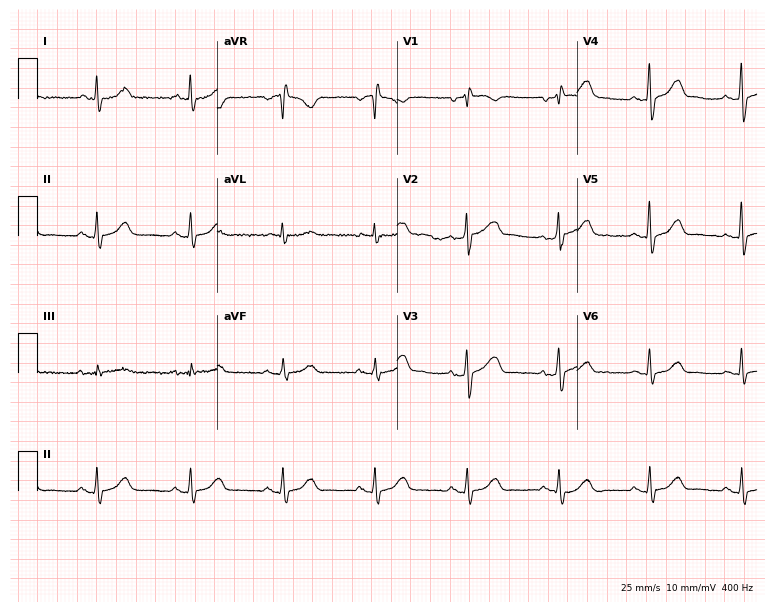
Standard 12-lead ECG recorded from a 71-year-old man. None of these six findings is recorded: first-degree AV block, right bundle branch block, left bundle branch block, sinus bradycardia, atrial fibrillation, sinus tachycardia. Findings outside these six are not listed.